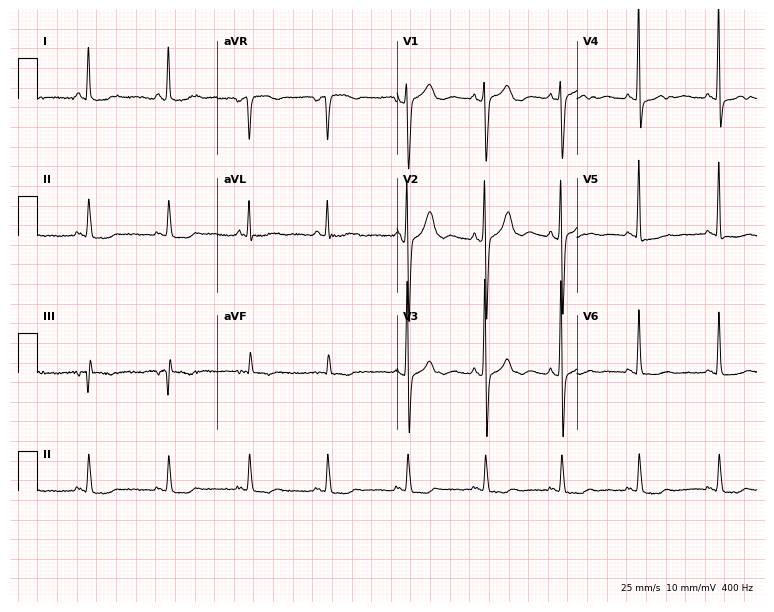
ECG — a female, 62 years old. Screened for six findings — first-degree AV block, right bundle branch block, left bundle branch block, sinus bradycardia, atrial fibrillation, sinus tachycardia — none is recorded. Only these six findings were labelled.